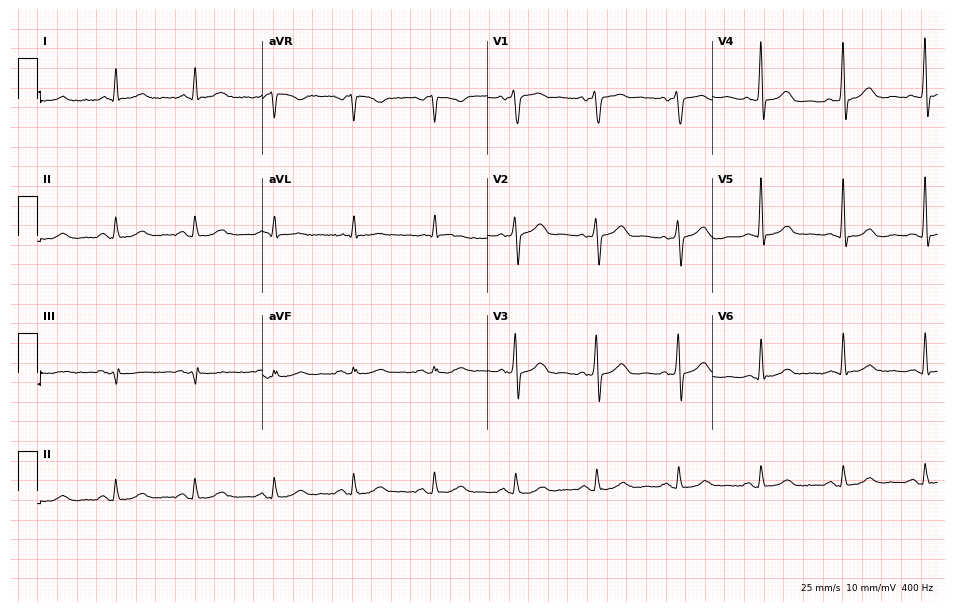
Electrocardiogram, a 62-year-old male. Of the six screened findings (first-degree AV block, right bundle branch block, left bundle branch block, sinus bradycardia, atrial fibrillation, sinus tachycardia), none is recorded. Only these six findings were labelled.